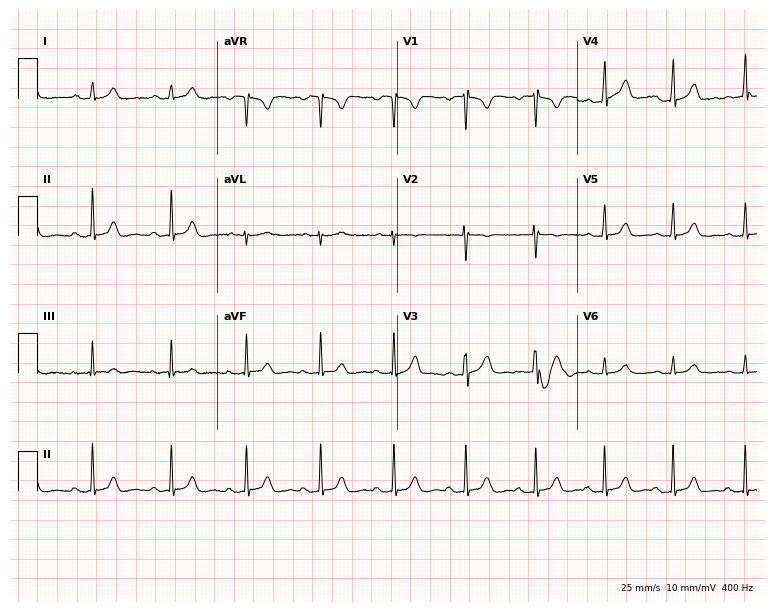
ECG — a 21-year-old female patient. Screened for six findings — first-degree AV block, right bundle branch block, left bundle branch block, sinus bradycardia, atrial fibrillation, sinus tachycardia — none is recorded.